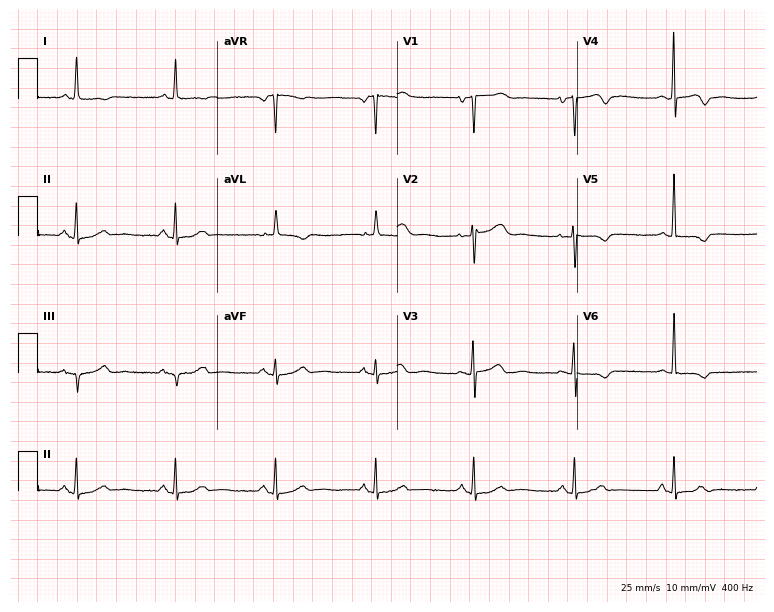
Electrocardiogram (7.3-second recording at 400 Hz), a 74-year-old female. Of the six screened findings (first-degree AV block, right bundle branch block, left bundle branch block, sinus bradycardia, atrial fibrillation, sinus tachycardia), none is recorded.